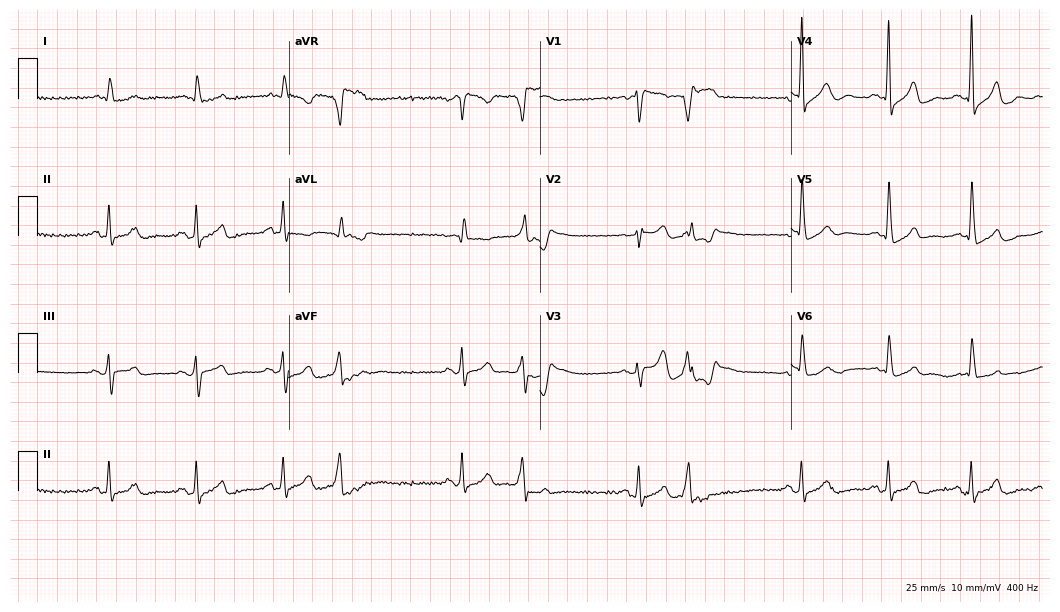
ECG (10.2-second recording at 400 Hz) — a 79-year-old woman. Labelled as a normal ECG.